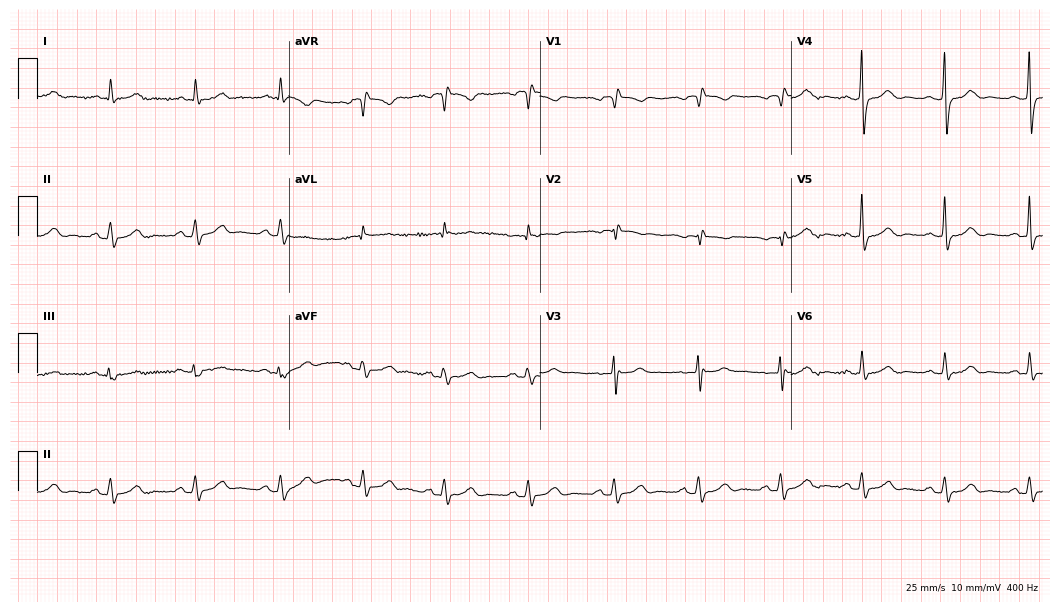
12-lead ECG from a 63-year-old woman. Screened for six findings — first-degree AV block, right bundle branch block, left bundle branch block, sinus bradycardia, atrial fibrillation, sinus tachycardia — none is recorded.